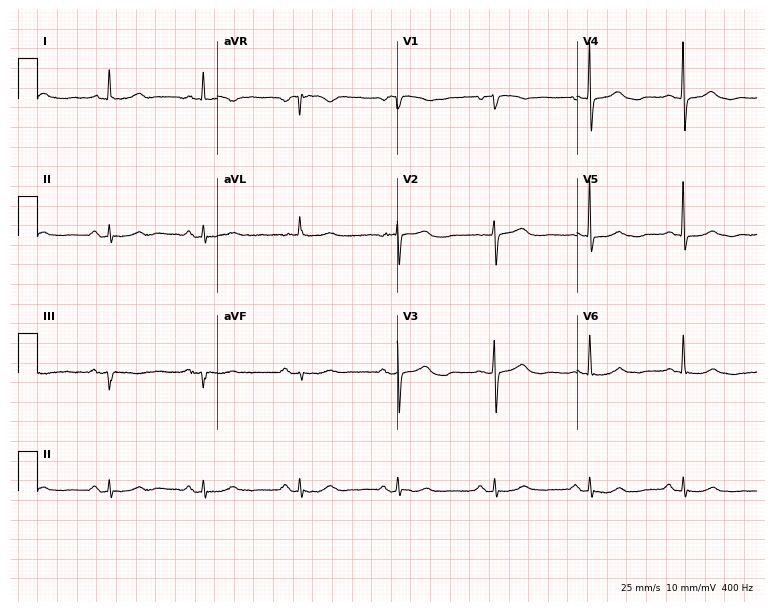
12-lead ECG (7.3-second recording at 400 Hz) from a female, 83 years old. Labelled as a normal ECG.